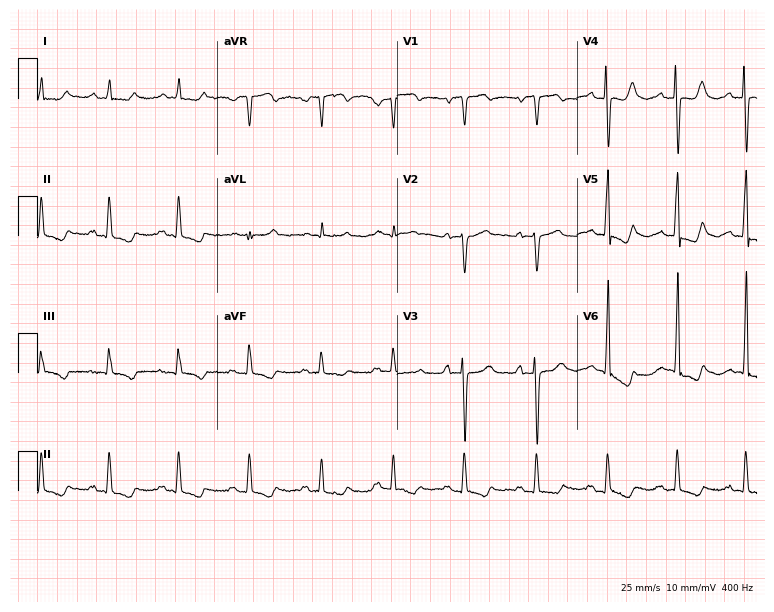
12-lead ECG (7.3-second recording at 400 Hz) from a 51-year-old female patient. Screened for six findings — first-degree AV block, right bundle branch block, left bundle branch block, sinus bradycardia, atrial fibrillation, sinus tachycardia — none is recorded.